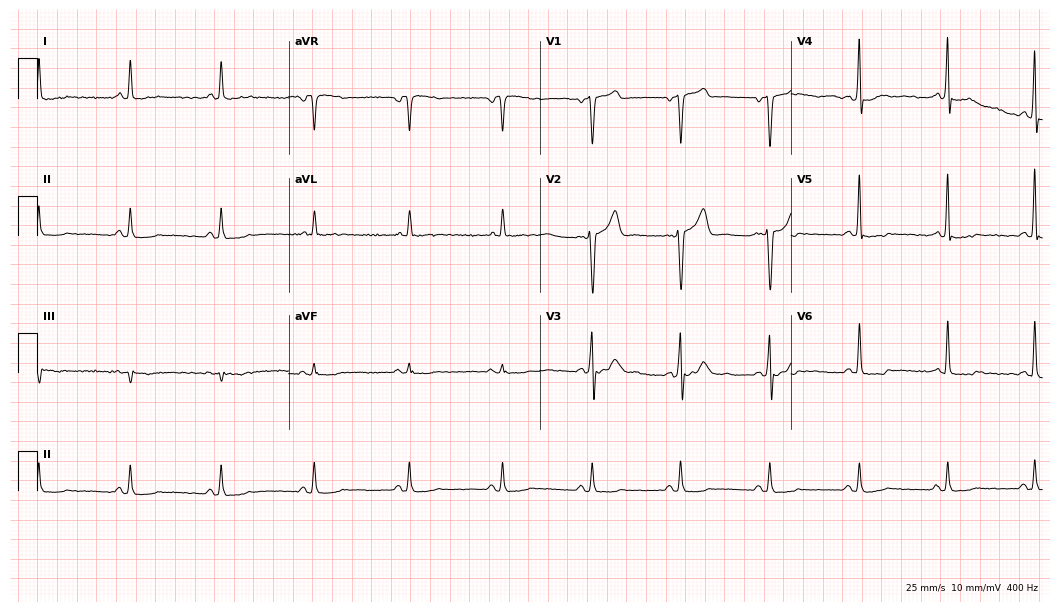
Standard 12-lead ECG recorded from a male, 55 years old (10.2-second recording at 400 Hz). None of these six findings is recorded: first-degree AV block, right bundle branch block, left bundle branch block, sinus bradycardia, atrial fibrillation, sinus tachycardia.